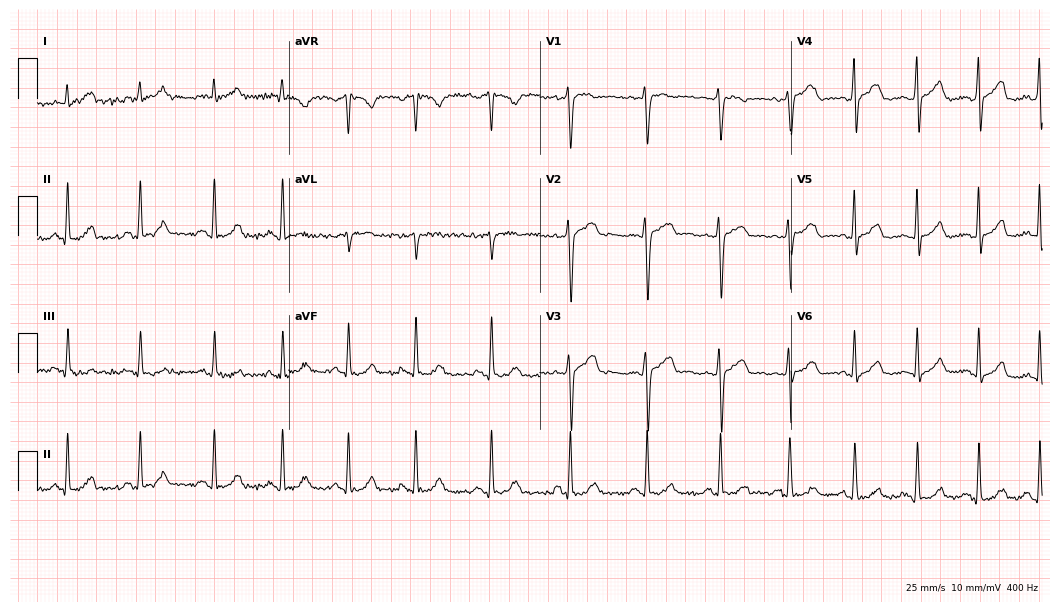
ECG — a 30-year-old female patient. Screened for six findings — first-degree AV block, right bundle branch block (RBBB), left bundle branch block (LBBB), sinus bradycardia, atrial fibrillation (AF), sinus tachycardia — none is recorded.